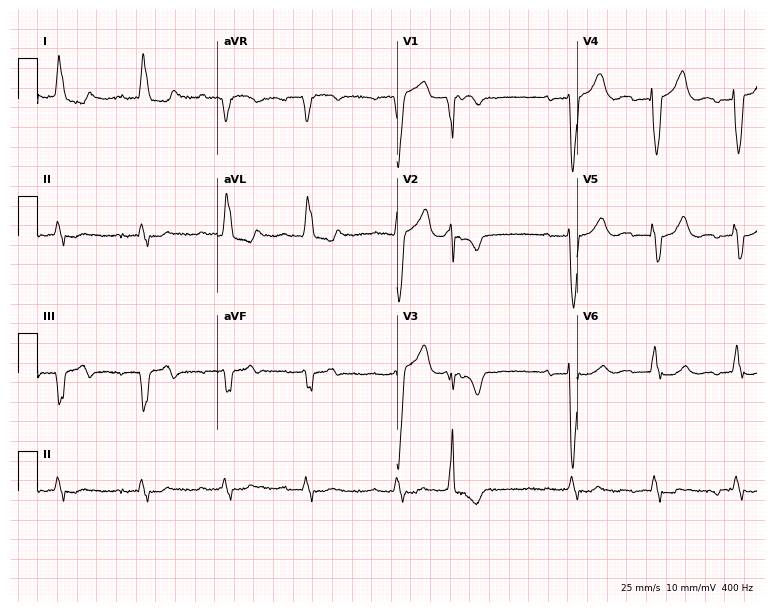
Electrocardiogram (7.3-second recording at 400 Hz), a woman, 85 years old. Of the six screened findings (first-degree AV block, right bundle branch block (RBBB), left bundle branch block (LBBB), sinus bradycardia, atrial fibrillation (AF), sinus tachycardia), none is recorded.